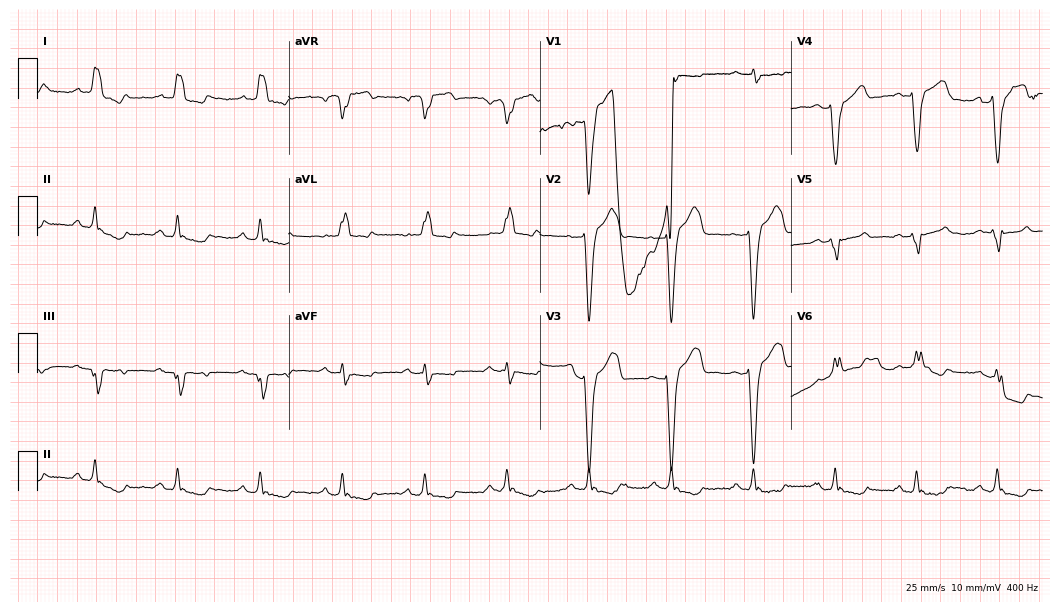
Standard 12-lead ECG recorded from a male patient, 63 years old. None of these six findings is recorded: first-degree AV block, right bundle branch block, left bundle branch block, sinus bradycardia, atrial fibrillation, sinus tachycardia.